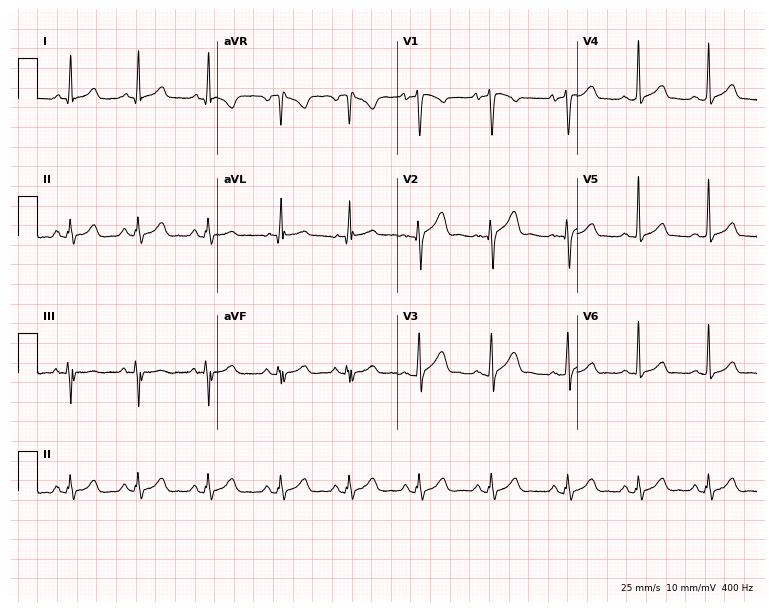
Standard 12-lead ECG recorded from a man, 19 years old. Read as a normal ECG.